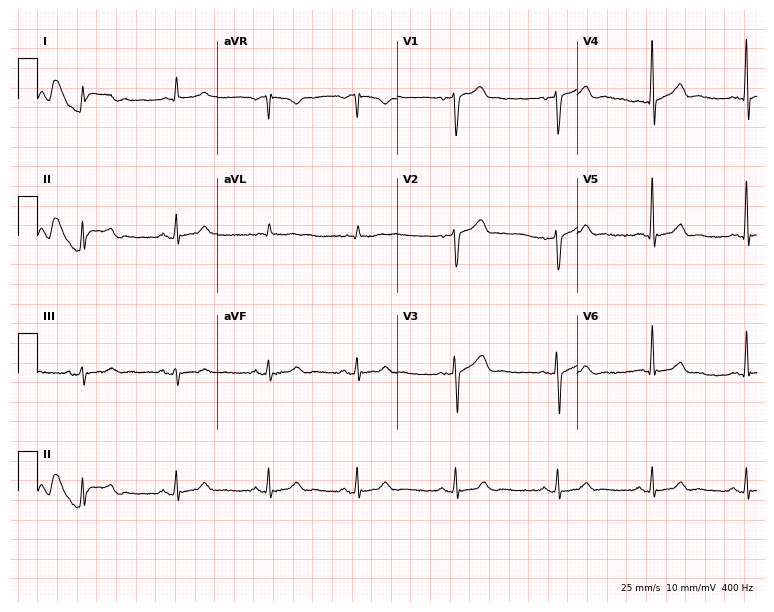
Resting 12-lead electrocardiogram. Patient: a 50-year-old male. Read as a normal ECG.